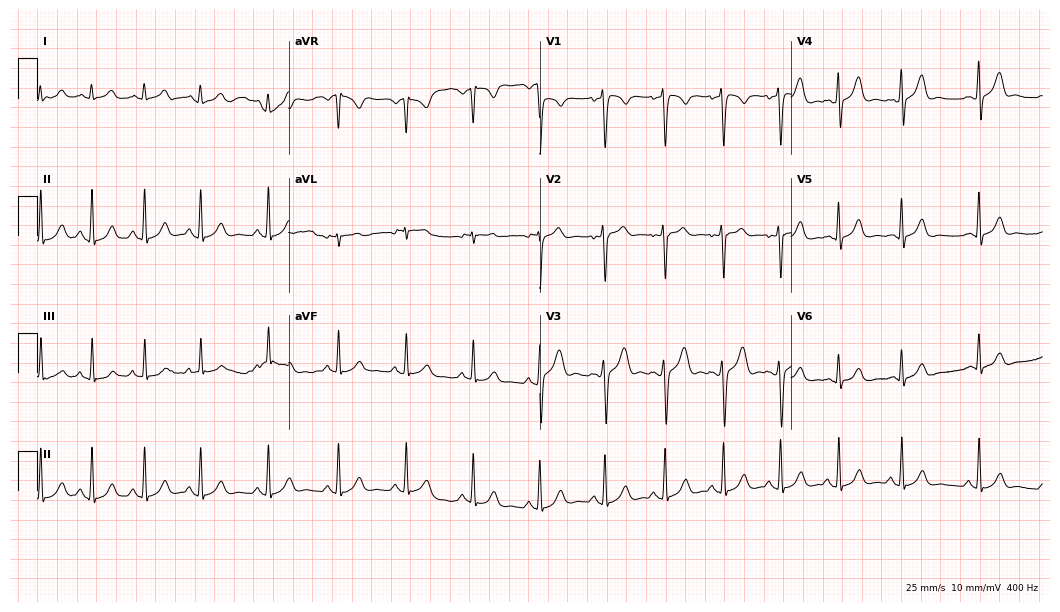
ECG — a male patient, 19 years old. Labelled as a normal ECG.